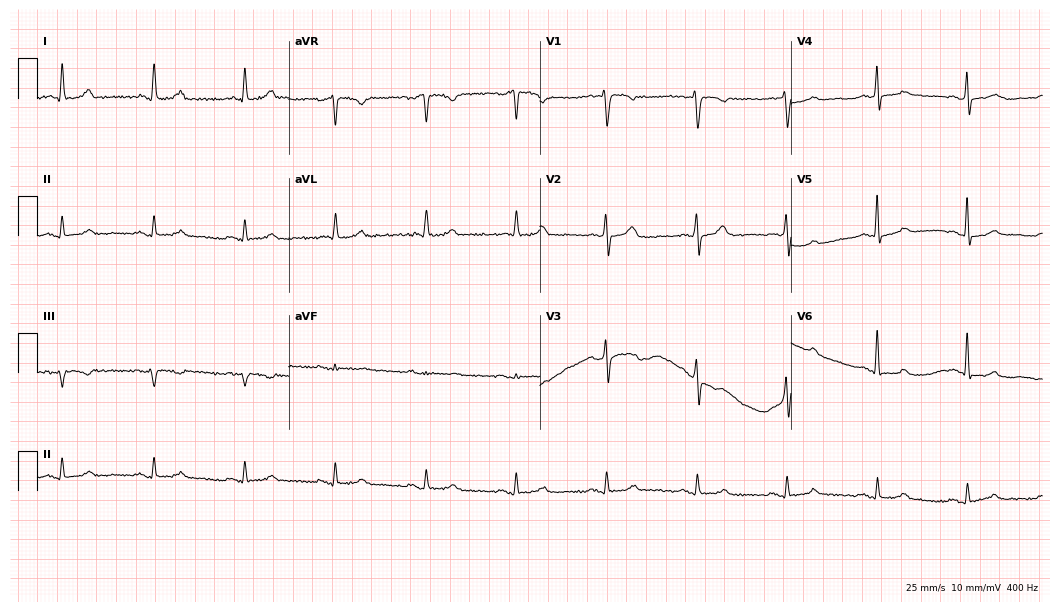
Standard 12-lead ECG recorded from a male, 82 years old (10.2-second recording at 400 Hz). Read as a normal ECG.